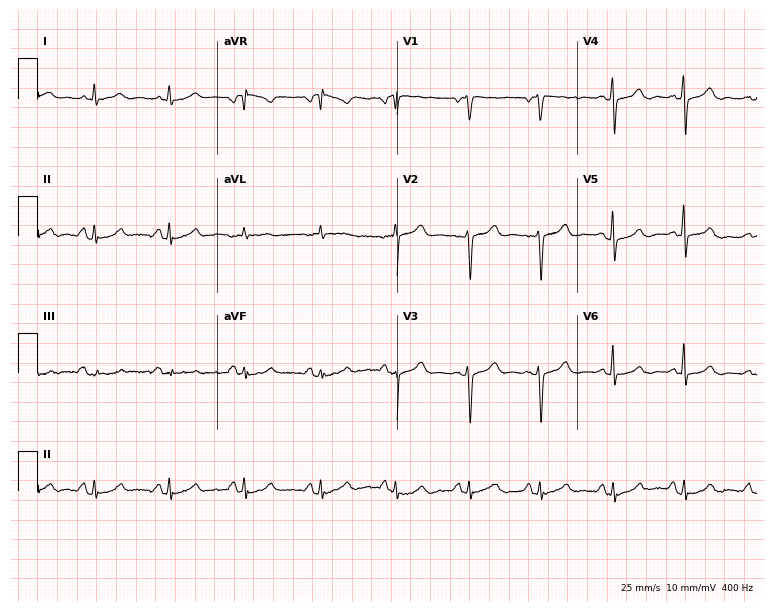
ECG — a 48-year-old female patient. Labelled as a normal ECG.